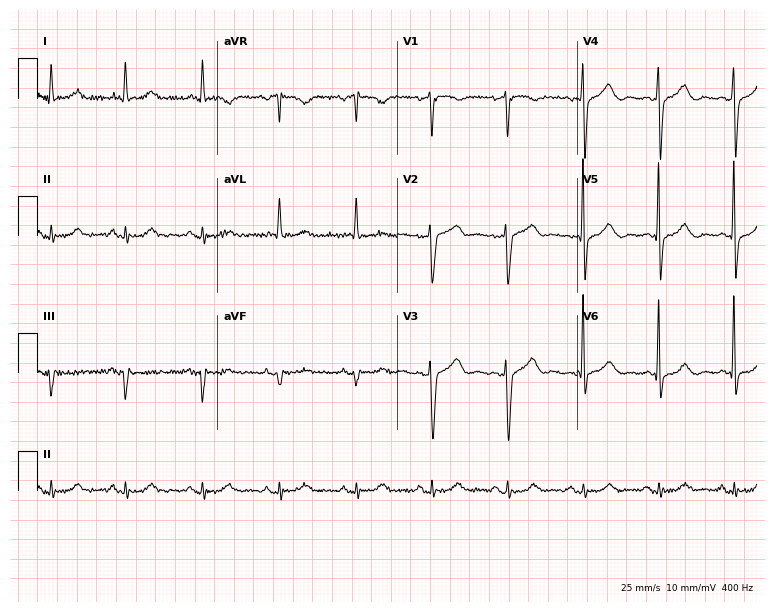
Resting 12-lead electrocardiogram. Patient: a 75-year-old female. None of these six findings is recorded: first-degree AV block, right bundle branch block (RBBB), left bundle branch block (LBBB), sinus bradycardia, atrial fibrillation (AF), sinus tachycardia.